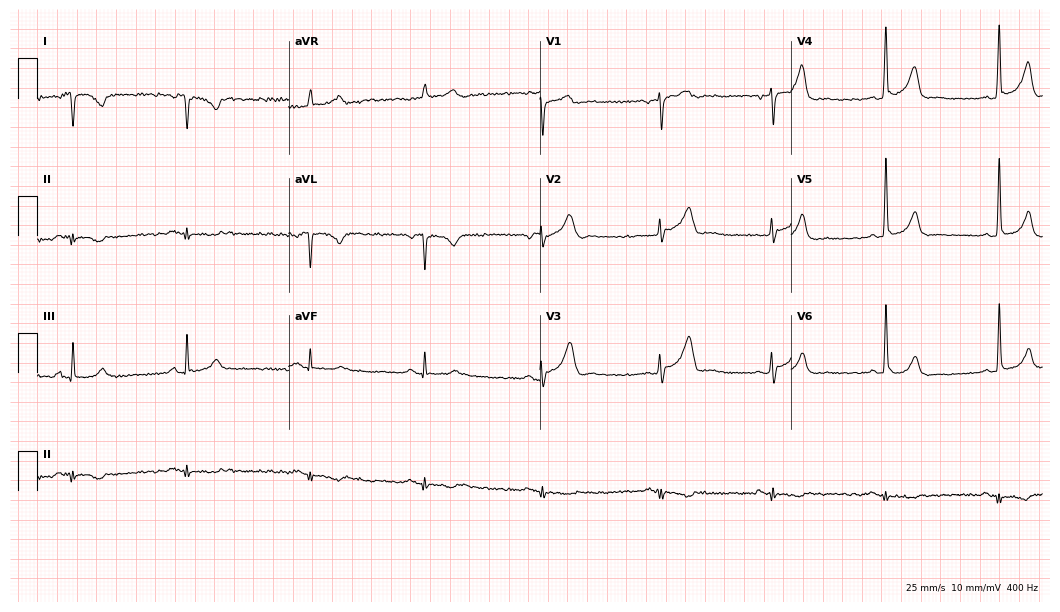
12-lead ECG from a man, 69 years old. Screened for six findings — first-degree AV block, right bundle branch block, left bundle branch block, sinus bradycardia, atrial fibrillation, sinus tachycardia — none is recorded. Findings outside these six are not listed.